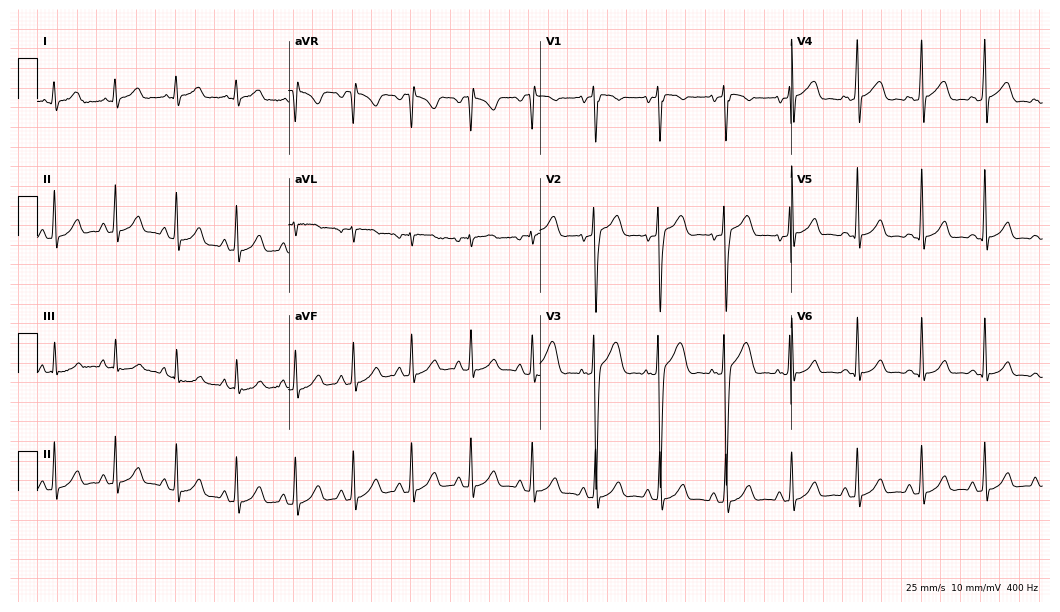
Resting 12-lead electrocardiogram (10.2-second recording at 400 Hz). Patient: a man, 19 years old. None of these six findings is recorded: first-degree AV block, right bundle branch block (RBBB), left bundle branch block (LBBB), sinus bradycardia, atrial fibrillation (AF), sinus tachycardia.